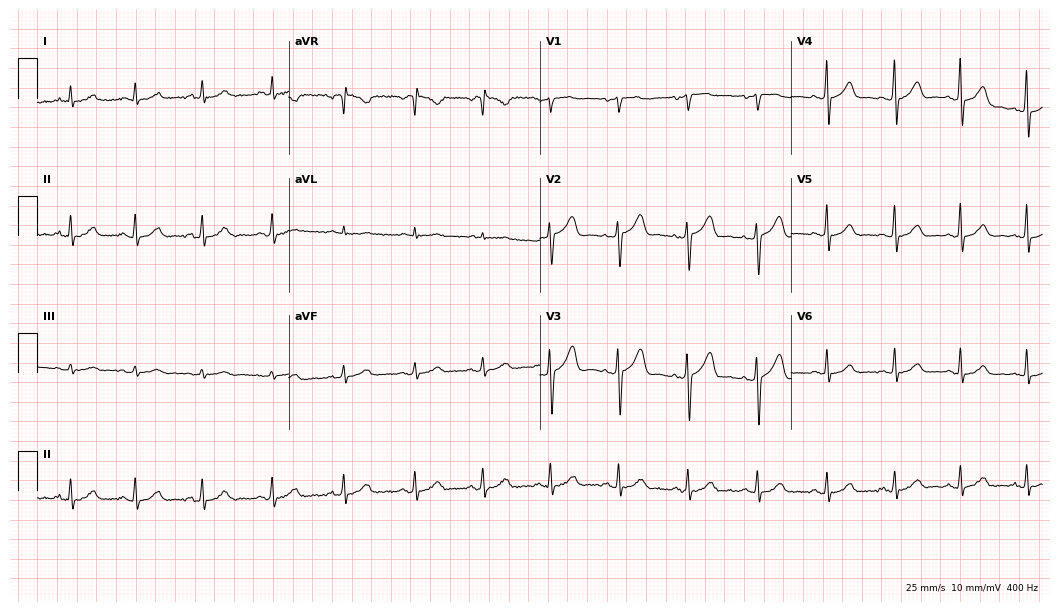
12-lead ECG (10.2-second recording at 400 Hz) from a woman, 46 years old. Labelled as a normal ECG.